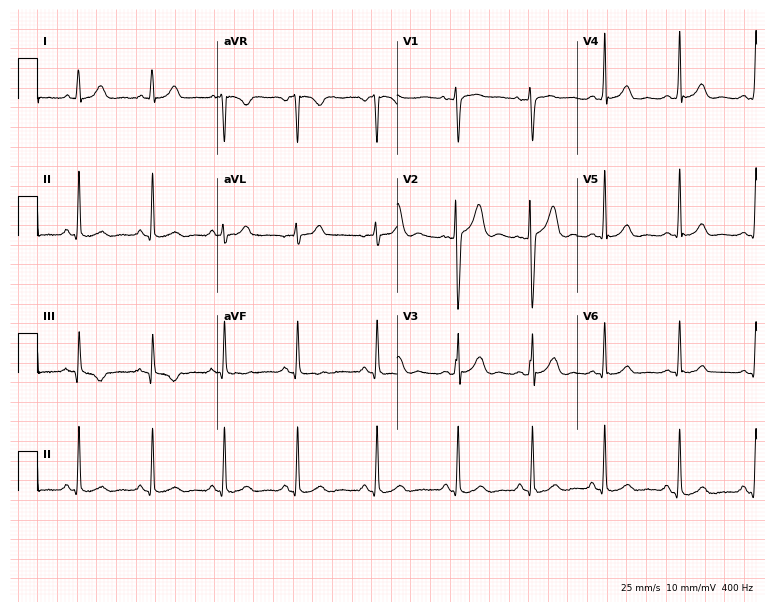
12-lead ECG from an 18-year-old female. No first-degree AV block, right bundle branch block (RBBB), left bundle branch block (LBBB), sinus bradycardia, atrial fibrillation (AF) or sinus tachycardia recorded for this tracing.